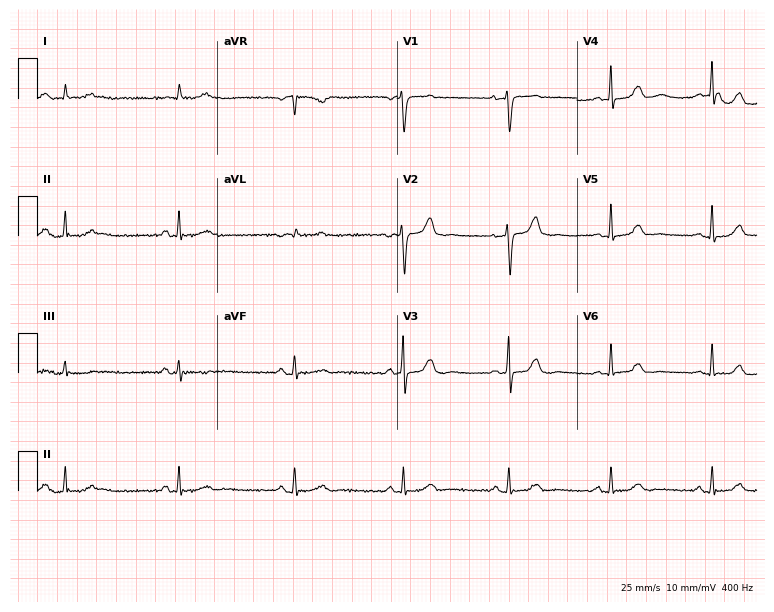
Resting 12-lead electrocardiogram (7.3-second recording at 400 Hz). Patient: a female, 69 years old. Read as a normal ECG.